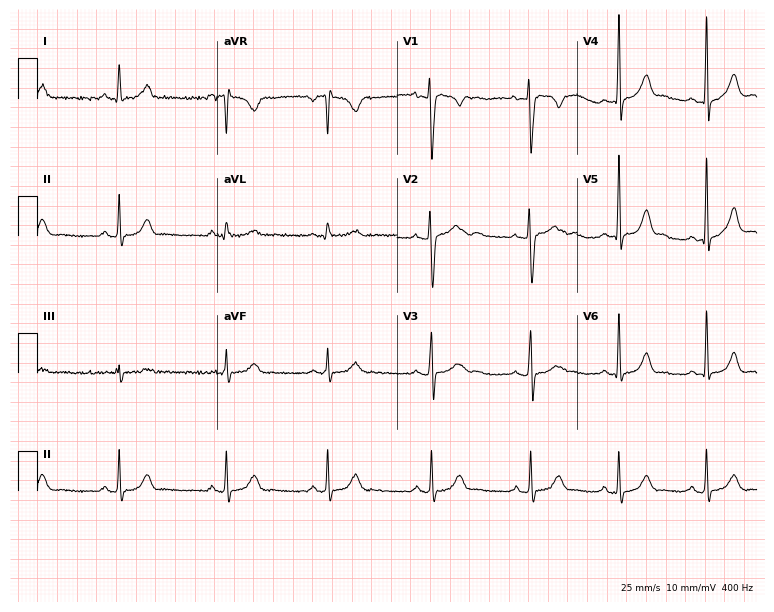
Electrocardiogram (7.3-second recording at 400 Hz), a woman, 33 years old. Overall reading on record: normal ECG.